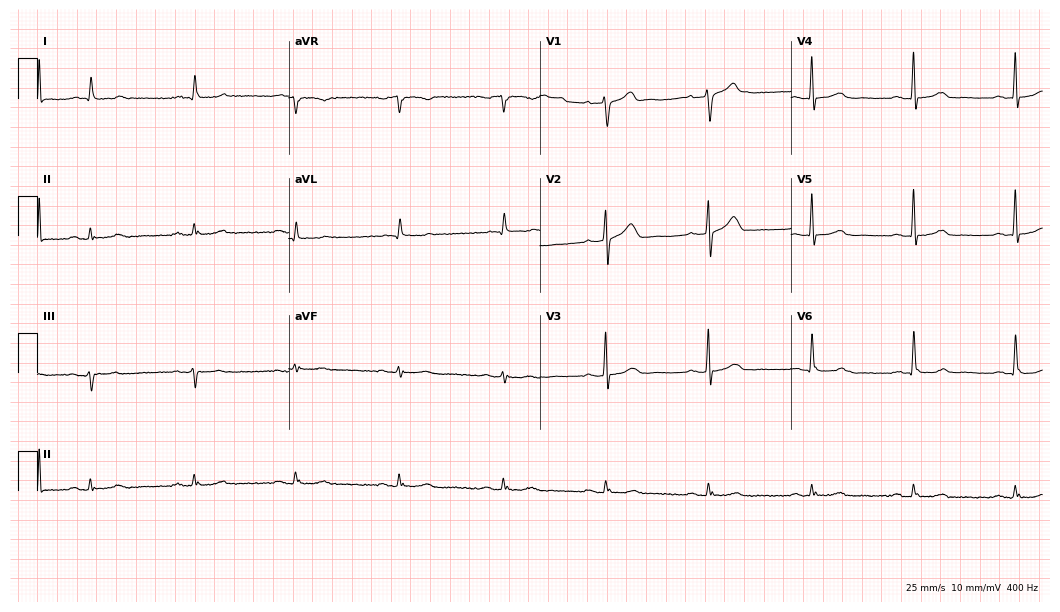
12-lead ECG from an 80-year-old man (10.2-second recording at 400 Hz). Recorded interpretation: within normal limits.